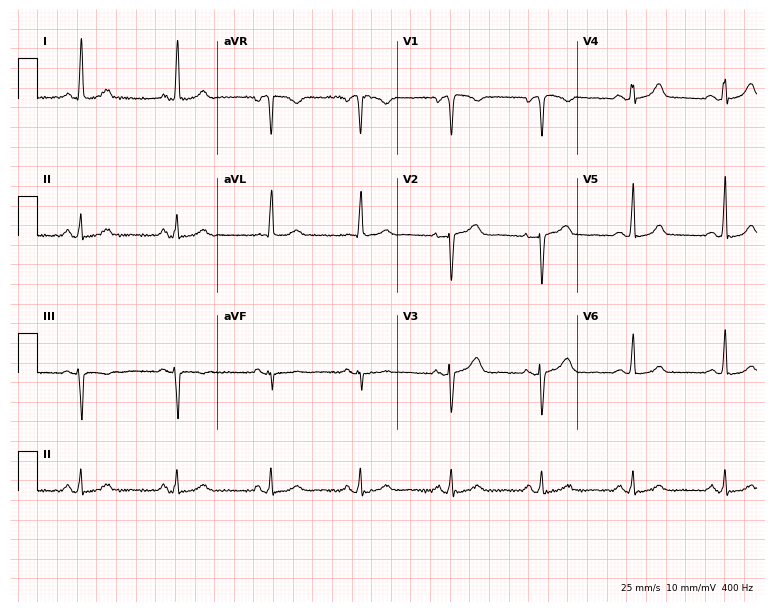
Electrocardiogram, a 48-year-old woman. Overall reading on record: normal ECG.